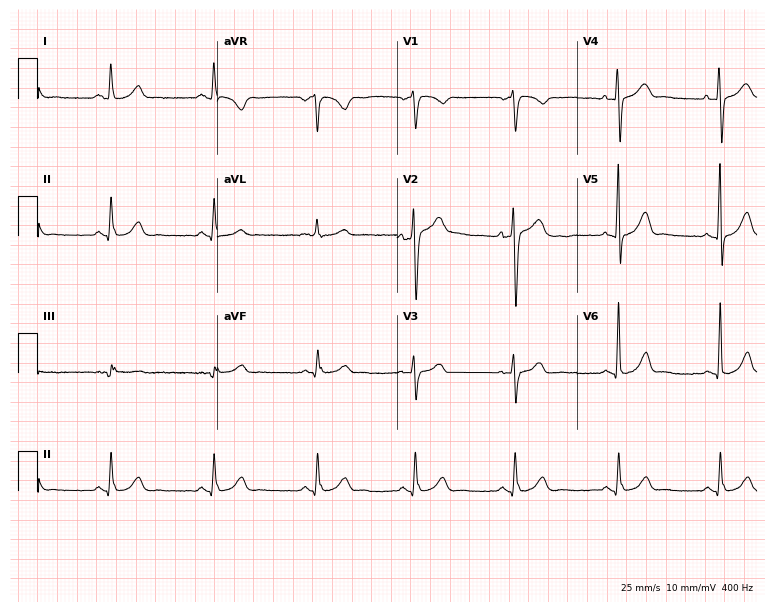
12-lead ECG from a man, 53 years old (7.3-second recording at 400 Hz). Recorded interpretation: within normal limits.